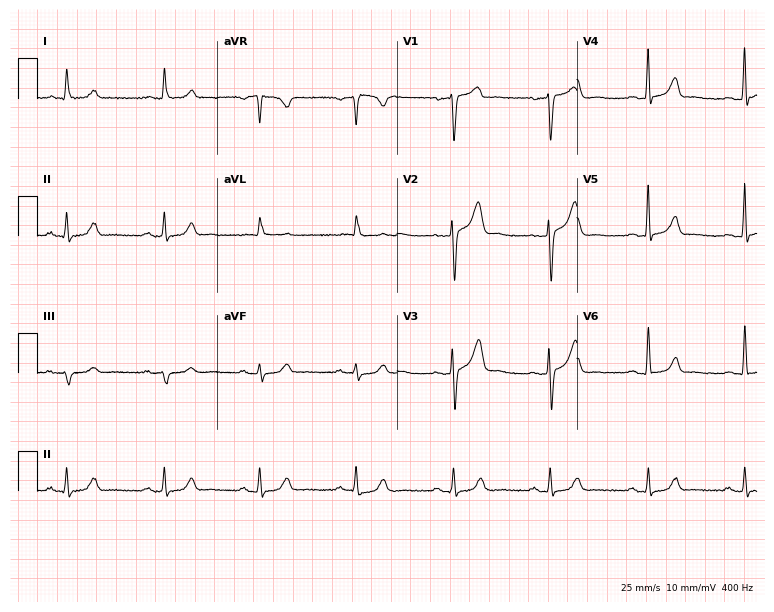
12-lead ECG (7.3-second recording at 400 Hz) from a 57-year-old male patient. Labelled as a normal ECG.